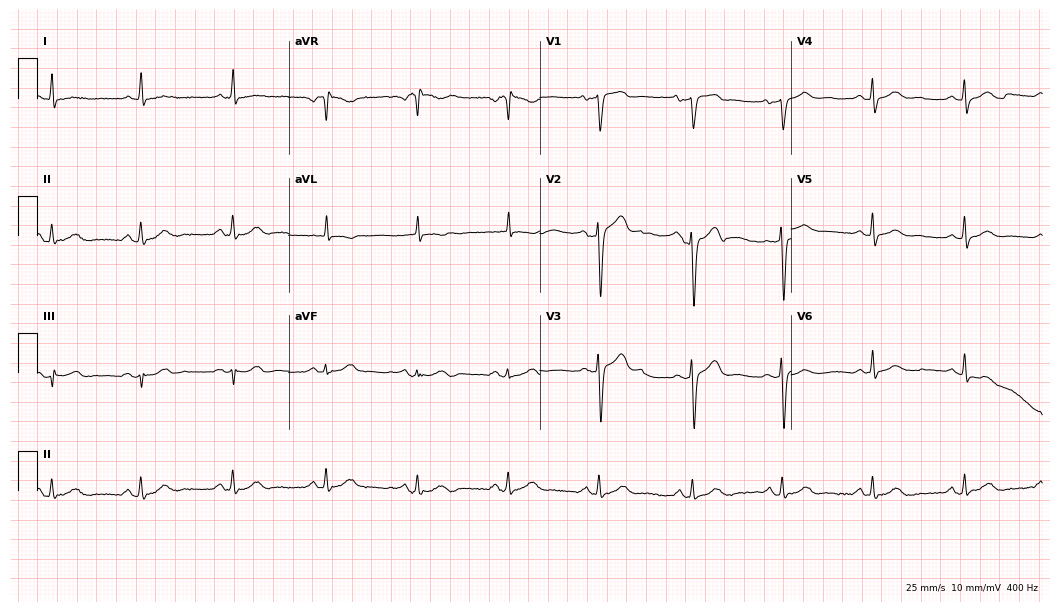
12-lead ECG from a 59-year-old woman. Screened for six findings — first-degree AV block, right bundle branch block (RBBB), left bundle branch block (LBBB), sinus bradycardia, atrial fibrillation (AF), sinus tachycardia — none is recorded.